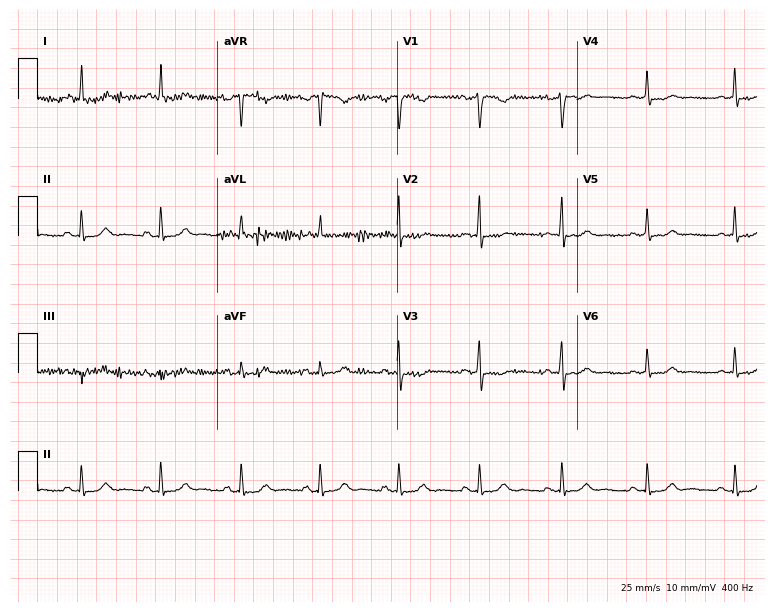
Standard 12-lead ECG recorded from a 41-year-old female. None of these six findings is recorded: first-degree AV block, right bundle branch block, left bundle branch block, sinus bradycardia, atrial fibrillation, sinus tachycardia.